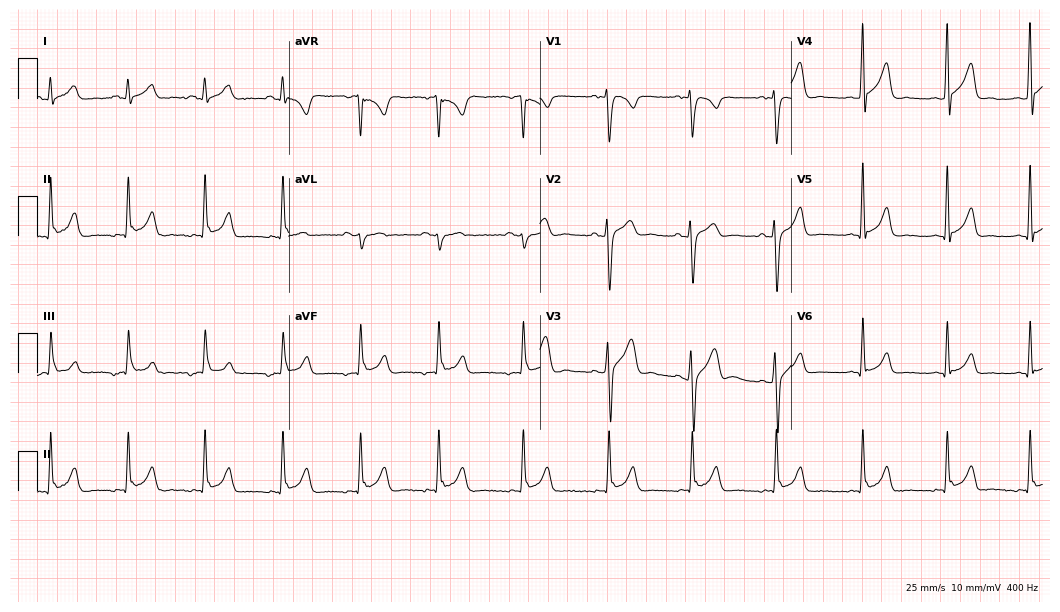
Electrocardiogram (10.2-second recording at 400 Hz), a 79-year-old man. Of the six screened findings (first-degree AV block, right bundle branch block, left bundle branch block, sinus bradycardia, atrial fibrillation, sinus tachycardia), none is recorded.